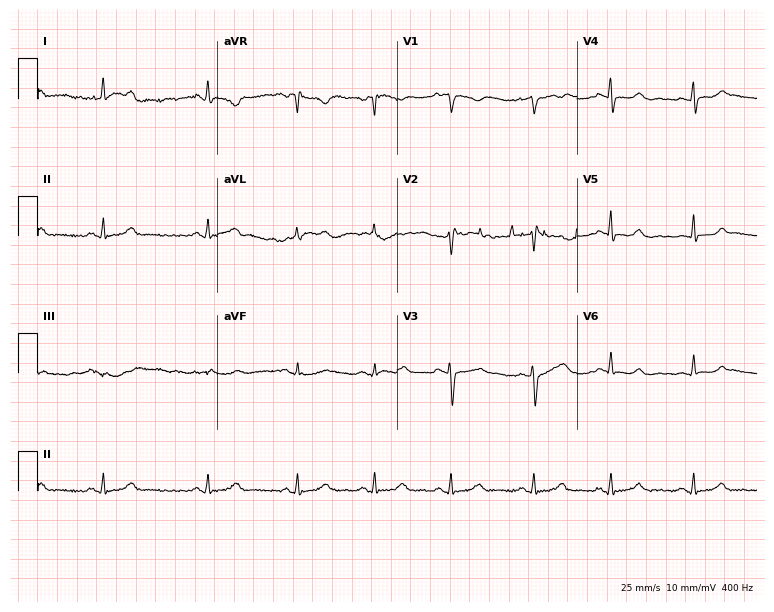
12-lead ECG from a 26-year-old female. Labelled as a normal ECG.